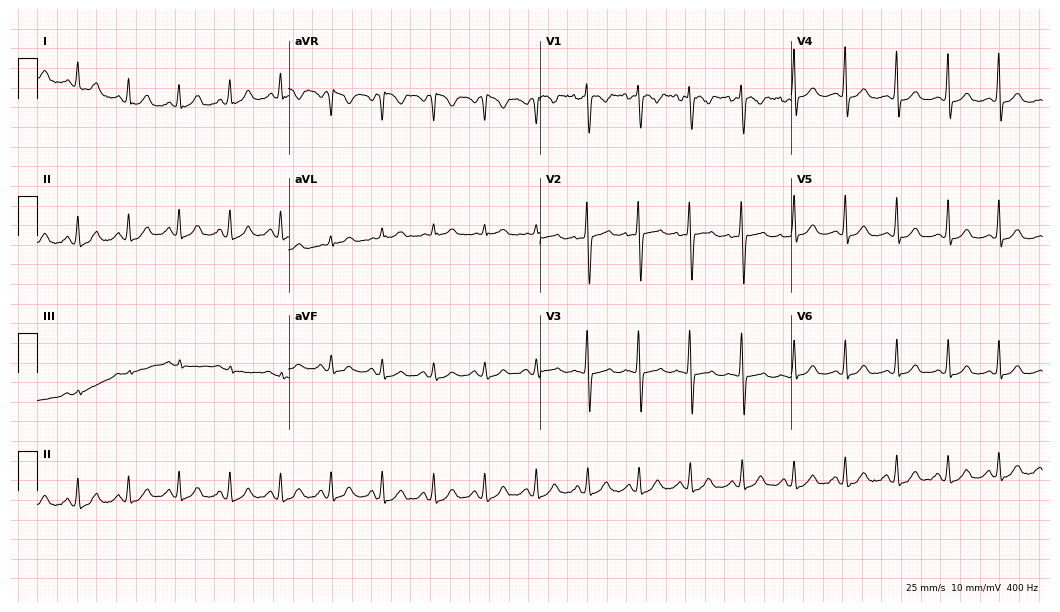
12-lead ECG (10.2-second recording at 400 Hz) from a 25-year-old female. Findings include sinus tachycardia (a sinus rate of 100 beats per minute or more).